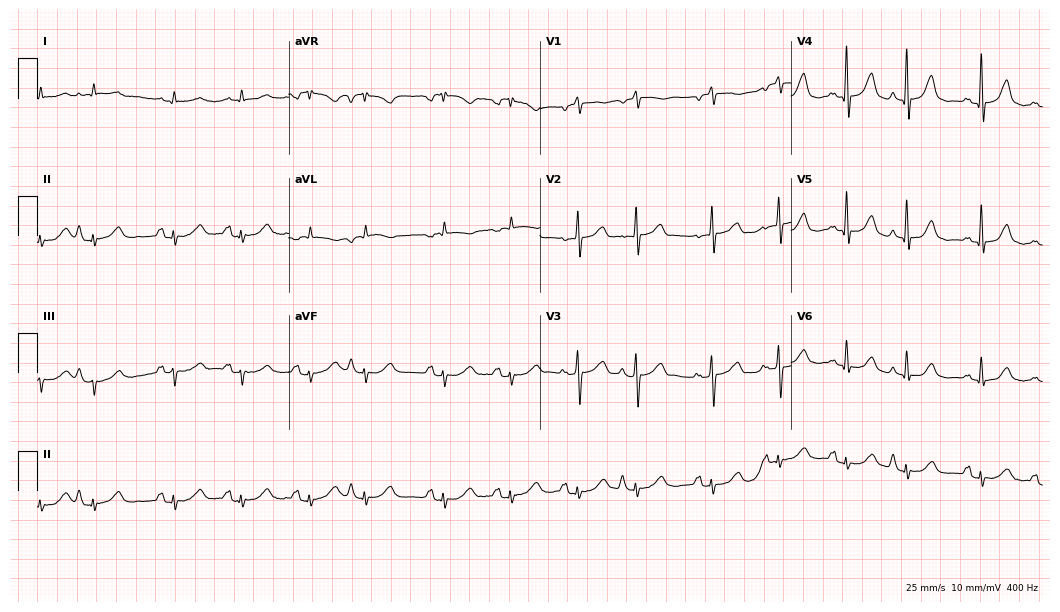
Resting 12-lead electrocardiogram (10.2-second recording at 400 Hz). Patient: a 78-year-old man. None of these six findings is recorded: first-degree AV block, right bundle branch block, left bundle branch block, sinus bradycardia, atrial fibrillation, sinus tachycardia.